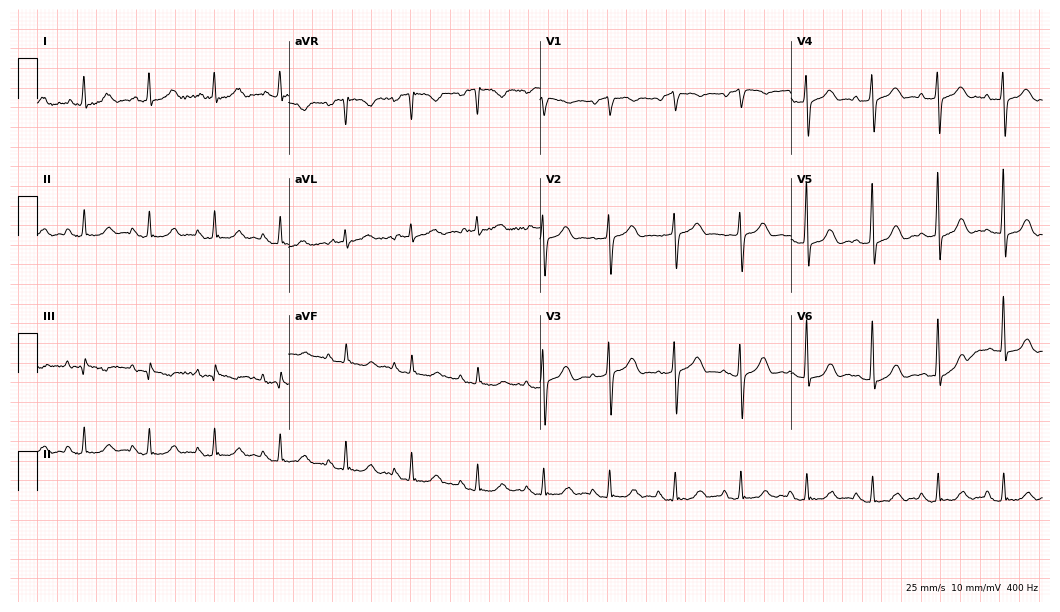
Standard 12-lead ECG recorded from a female patient, 85 years old. Read as a normal ECG.